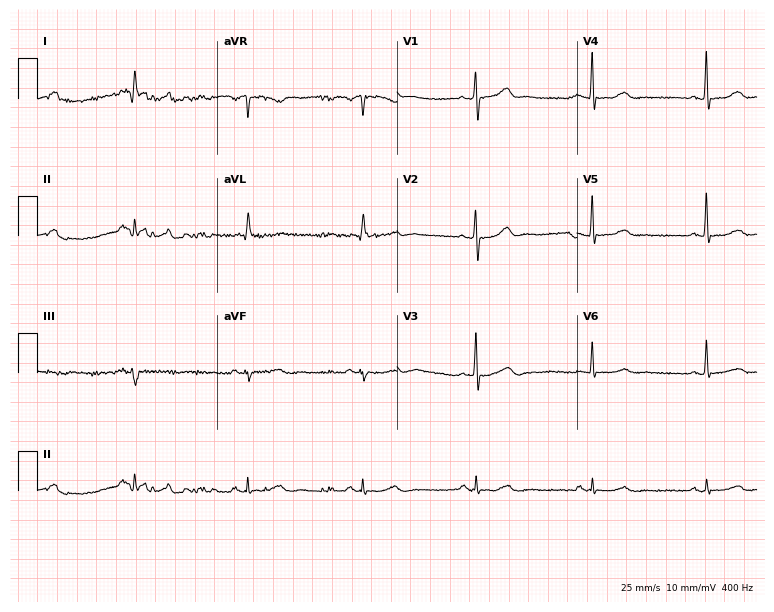
ECG — a female patient, 67 years old. Labelled as a normal ECG.